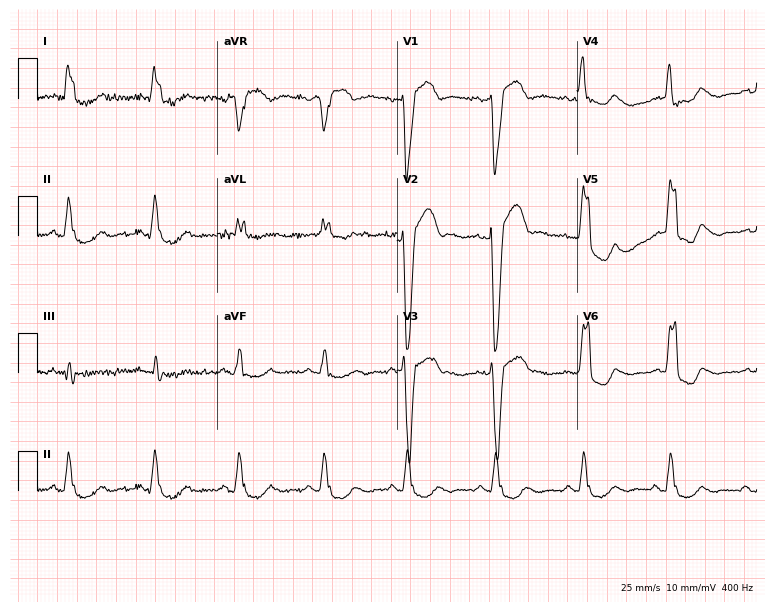
Resting 12-lead electrocardiogram (7.3-second recording at 400 Hz). Patient: a female, 80 years old. The tracing shows left bundle branch block (LBBB).